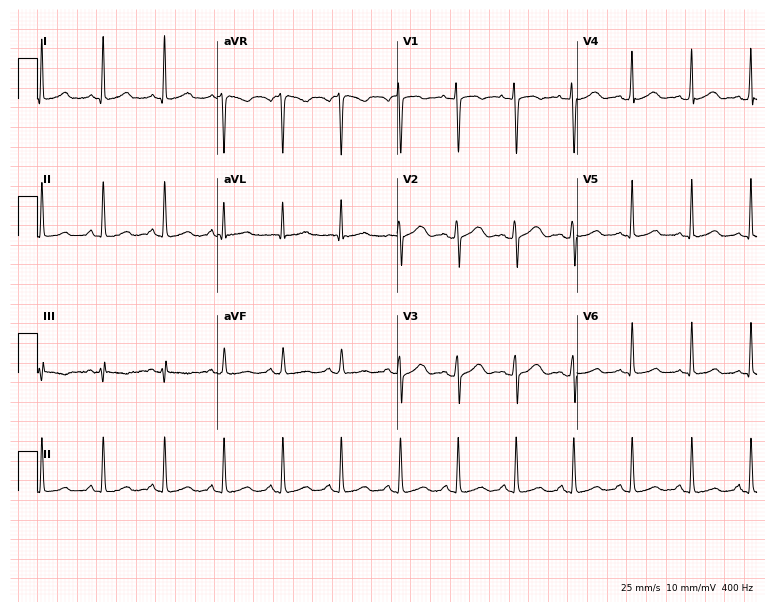
Standard 12-lead ECG recorded from a 31-year-old woman. None of these six findings is recorded: first-degree AV block, right bundle branch block (RBBB), left bundle branch block (LBBB), sinus bradycardia, atrial fibrillation (AF), sinus tachycardia. Other findings, if any, are not listed.